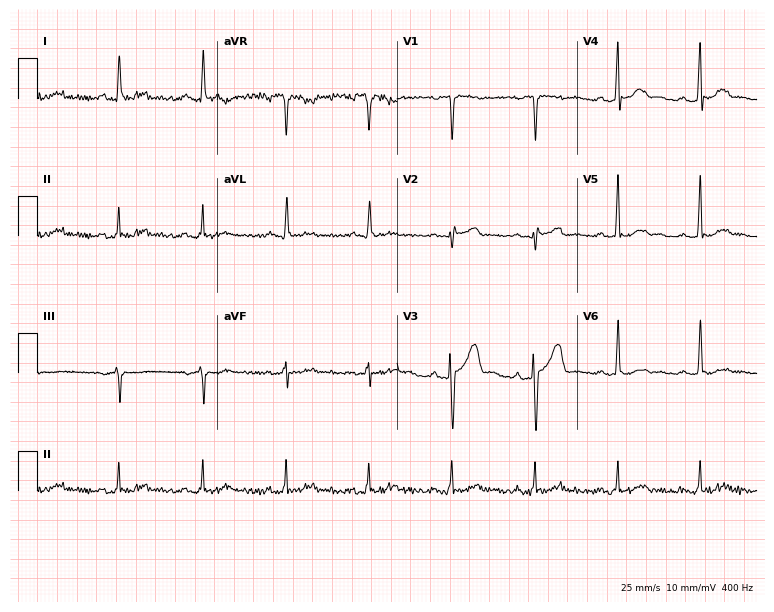
Electrocardiogram, a male, 48 years old. Overall reading on record: normal ECG.